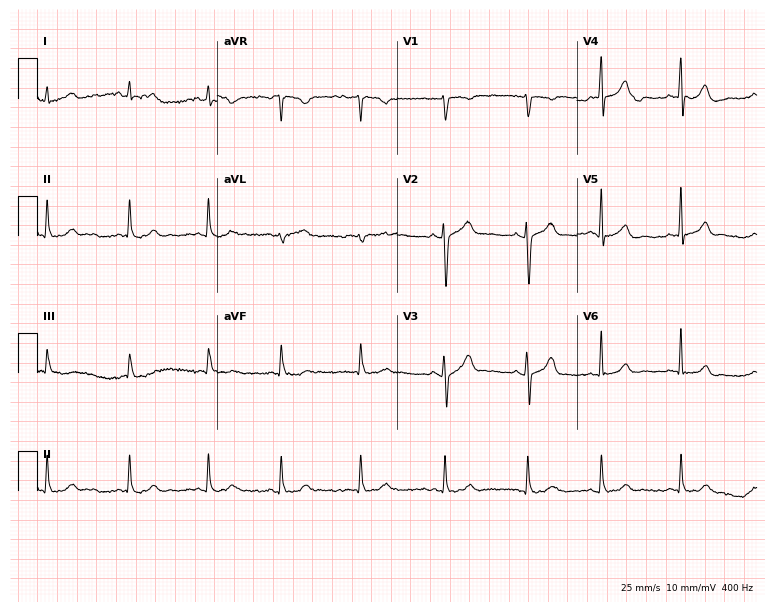
Electrocardiogram (7.3-second recording at 400 Hz), a female patient, 19 years old. Overall reading on record: normal ECG.